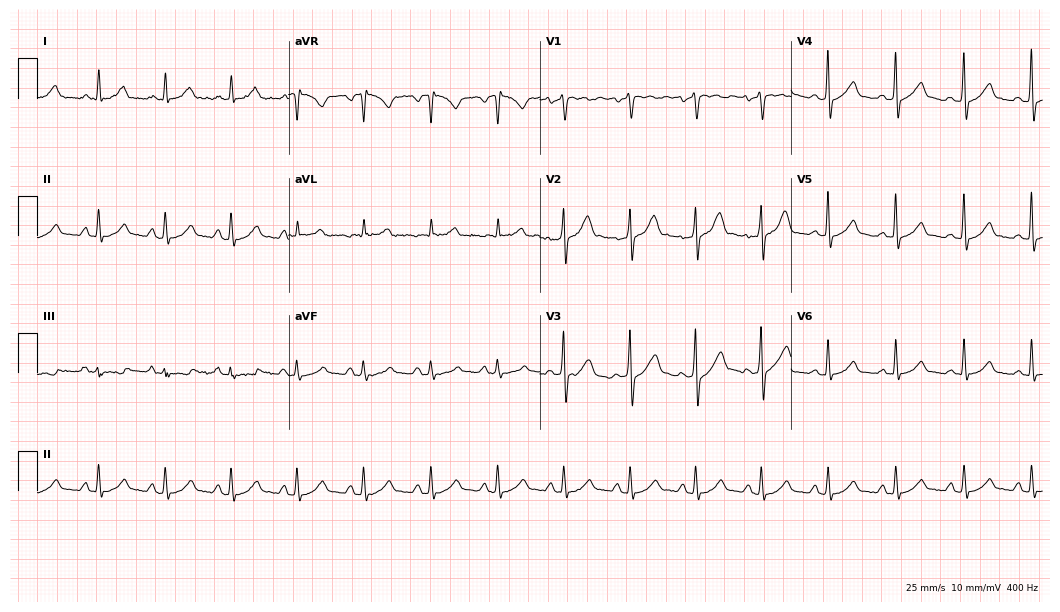
12-lead ECG from a 46-year-old male patient. Recorded interpretation: within normal limits.